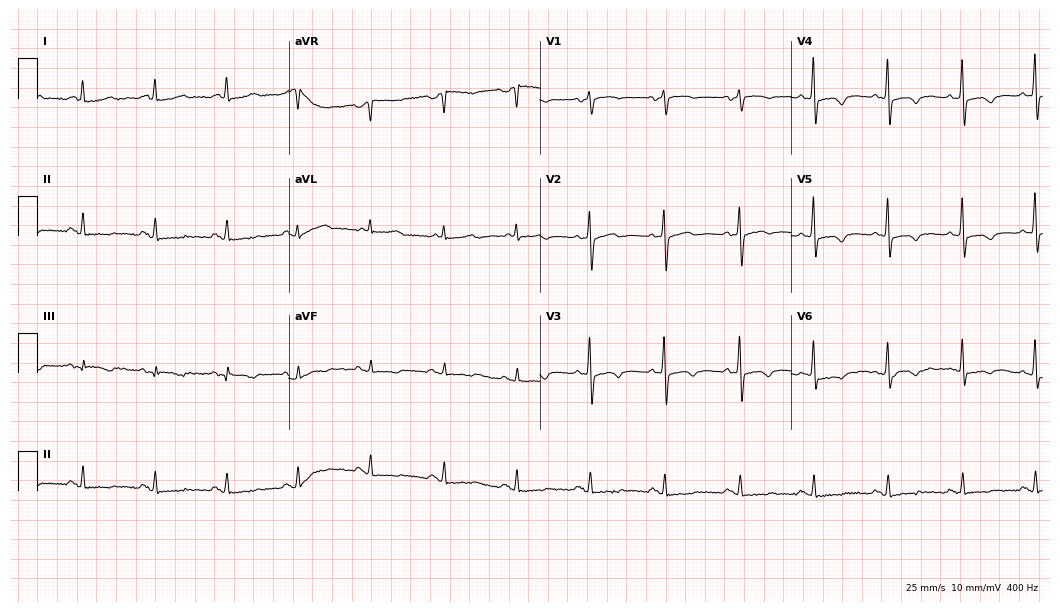
12-lead ECG from a woman, 64 years old. No first-degree AV block, right bundle branch block (RBBB), left bundle branch block (LBBB), sinus bradycardia, atrial fibrillation (AF) or sinus tachycardia recorded for this tracing.